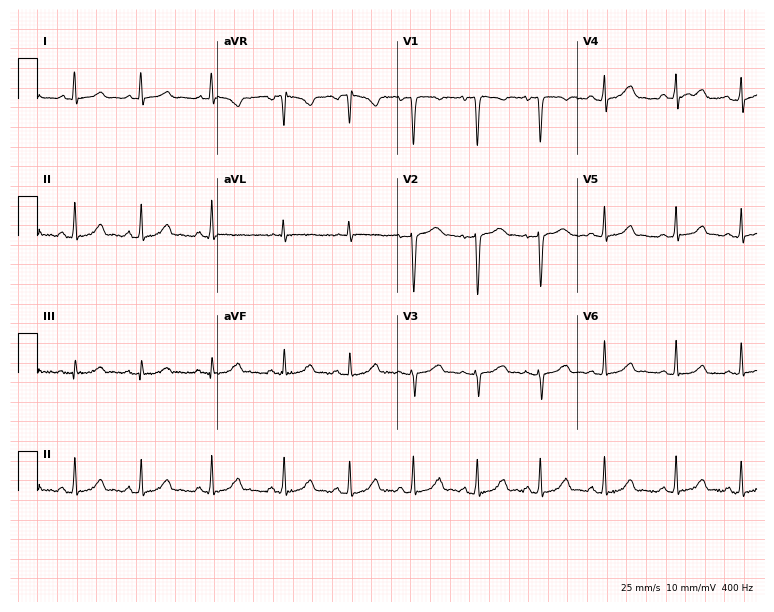
Resting 12-lead electrocardiogram. Patient: a woman, 24 years old. None of these six findings is recorded: first-degree AV block, right bundle branch block (RBBB), left bundle branch block (LBBB), sinus bradycardia, atrial fibrillation (AF), sinus tachycardia. Findings outside these six are not listed.